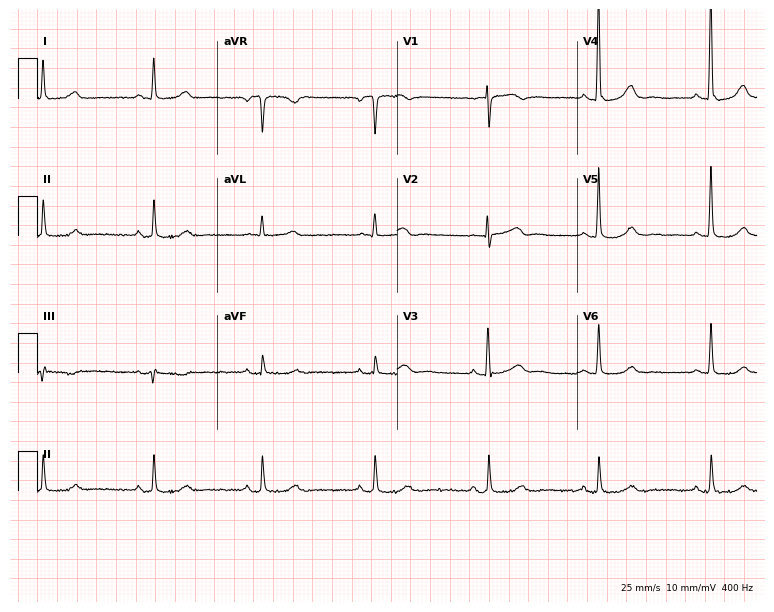
ECG (7.3-second recording at 400 Hz) — a female patient, 78 years old. Labelled as a normal ECG.